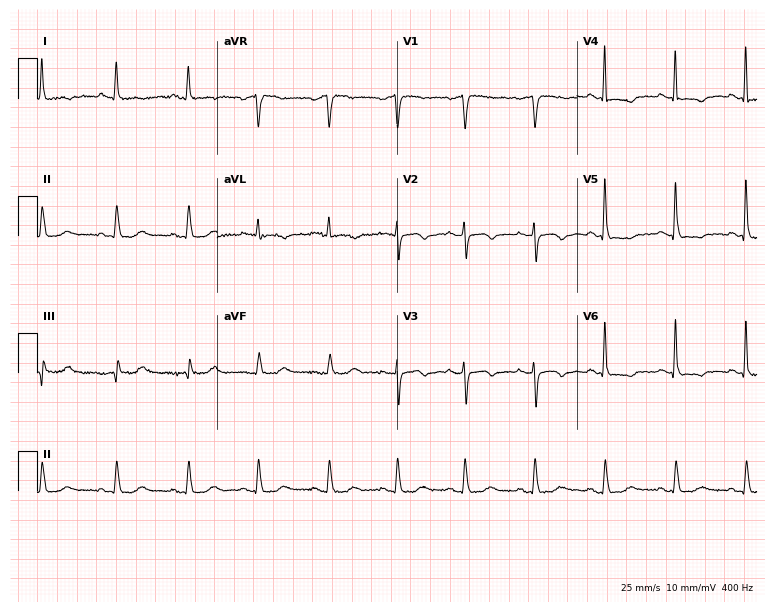
12-lead ECG from a 59-year-old woman. No first-degree AV block, right bundle branch block, left bundle branch block, sinus bradycardia, atrial fibrillation or sinus tachycardia recorded for this tracing.